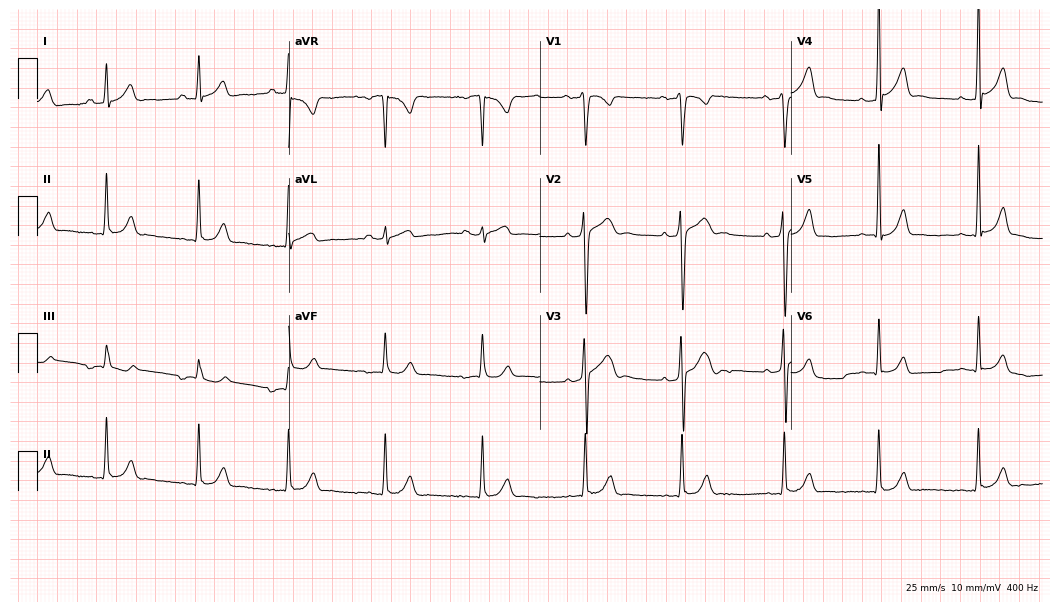
Resting 12-lead electrocardiogram. Patient: a 17-year-old man. None of these six findings is recorded: first-degree AV block, right bundle branch block, left bundle branch block, sinus bradycardia, atrial fibrillation, sinus tachycardia. Findings outside these six are not listed.